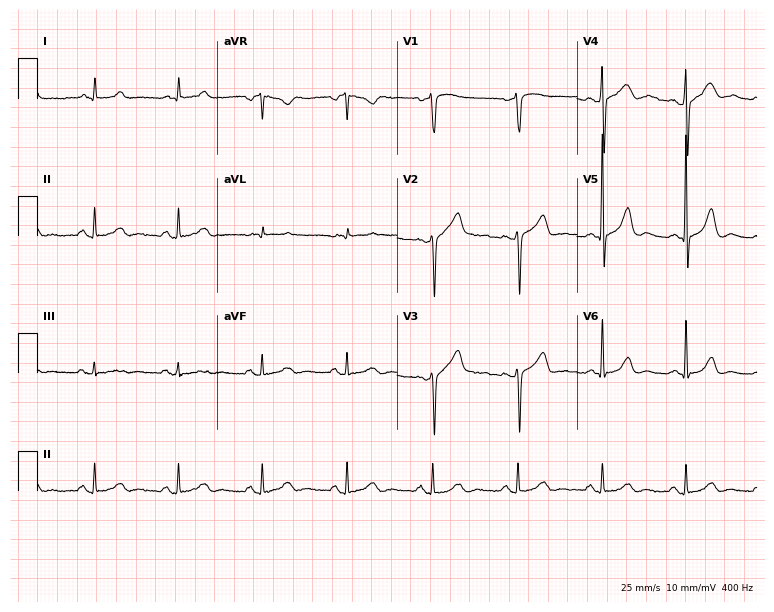
12-lead ECG from a male patient, 67 years old. Recorded interpretation: within normal limits.